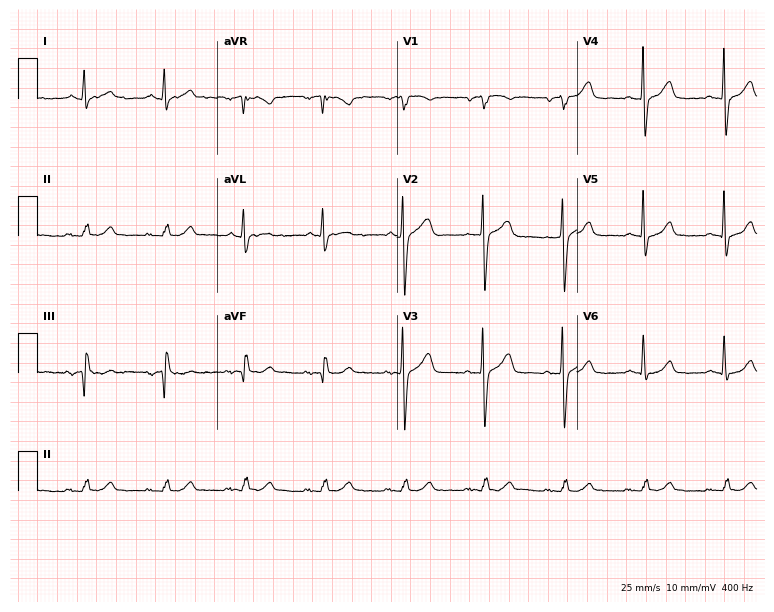
12-lead ECG (7.3-second recording at 400 Hz) from a man, 68 years old. Labelled as a normal ECG.